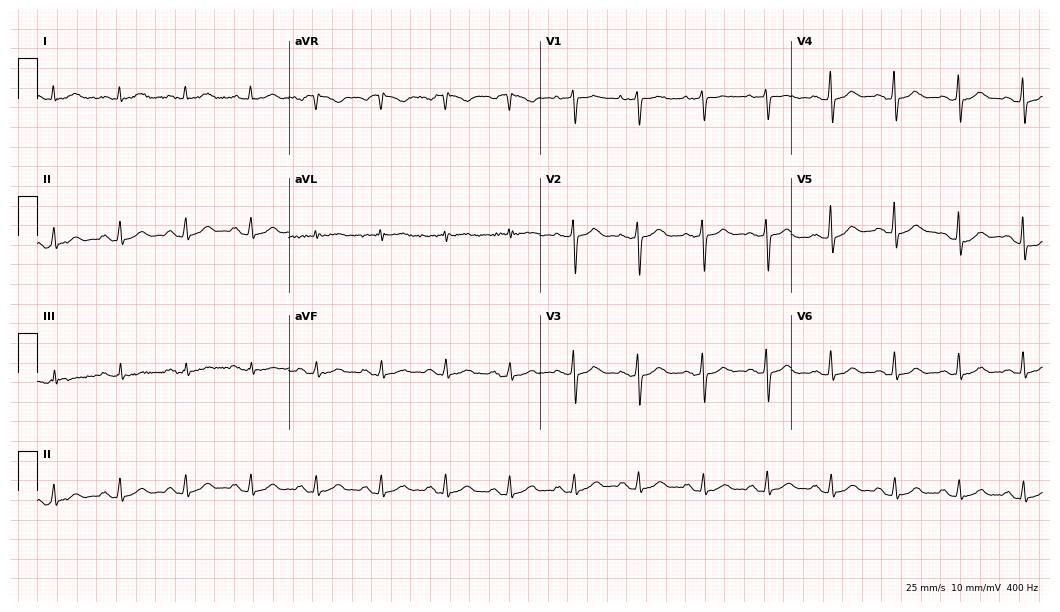
Resting 12-lead electrocardiogram (10.2-second recording at 400 Hz). Patient: a 65-year-old woman. Read as a normal ECG.